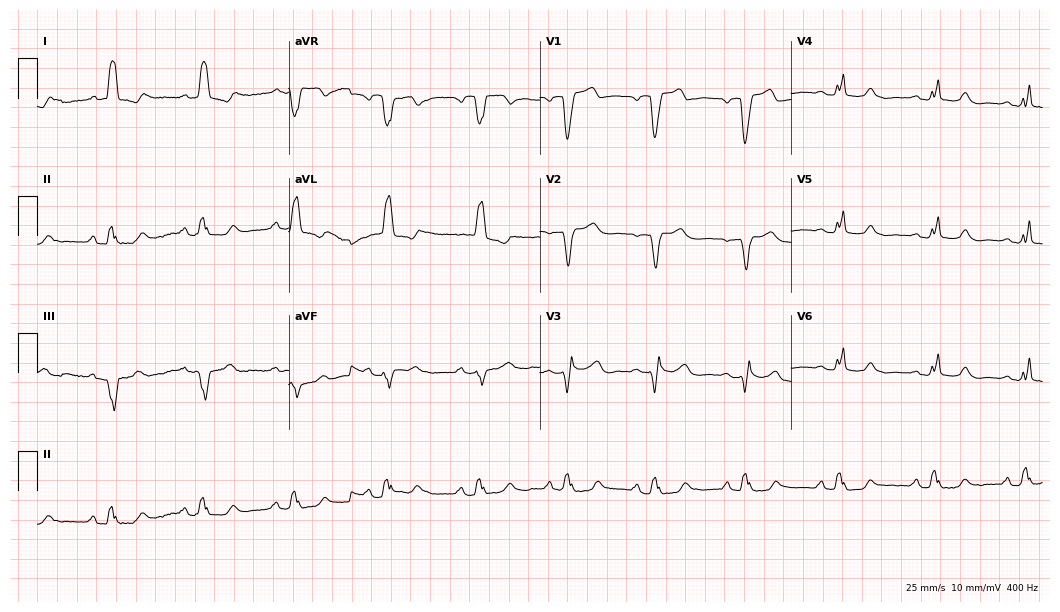
Standard 12-lead ECG recorded from a woman, 49 years old. None of these six findings is recorded: first-degree AV block, right bundle branch block, left bundle branch block, sinus bradycardia, atrial fibrillation, sinus tachycardia. Only these six findings were labelled.